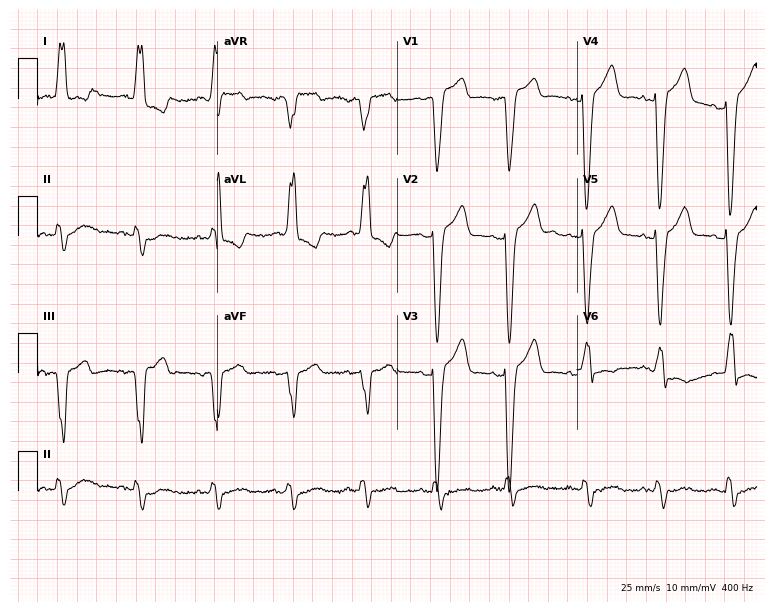
ECG (7.3-second recording at 400 Hz) — a woman, 76 years old. Findings include left bundle branch block.